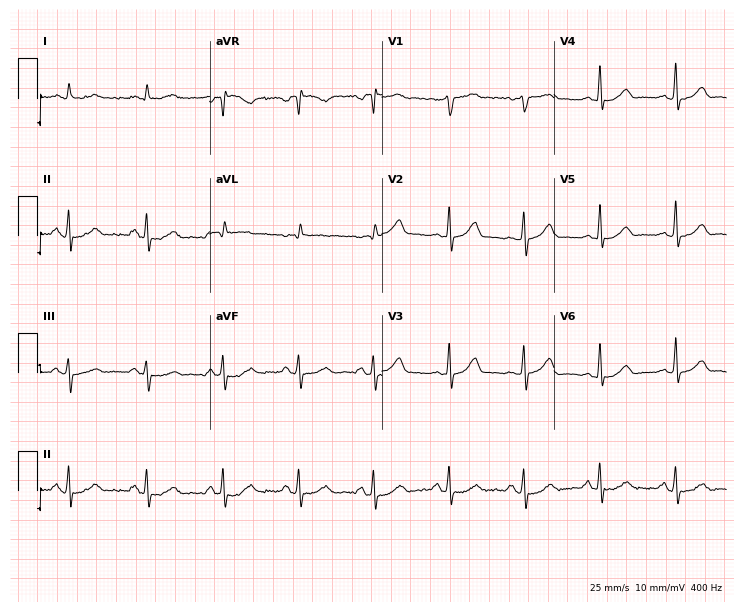
Electrocardiogram, a male patient, 68 years old. Of the six screened findings (first-degree AV block, right bundle branch block, left bundle branch block, sinus bradycardia, atrial fibrillation, sinus tachycardia), none is recorded.